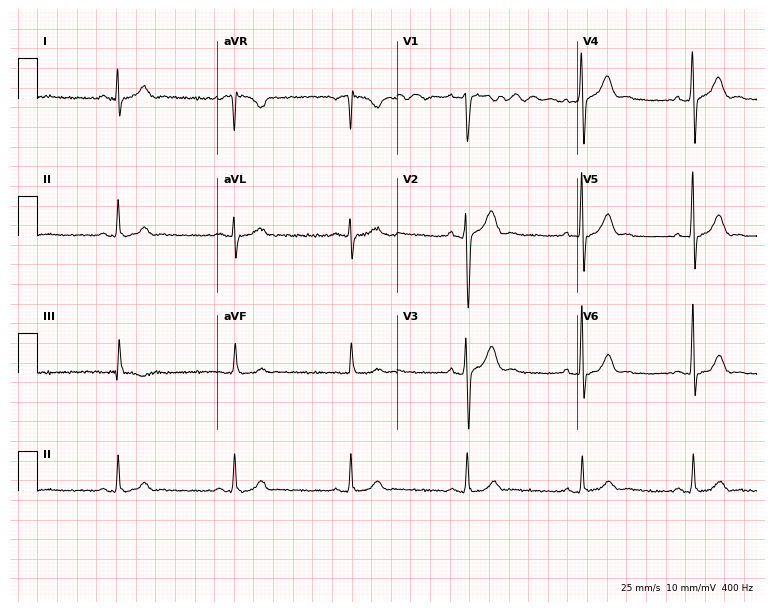
Standard 12-lead ECG recorded from a male patient, 28 years old. None of these six findings is recorded: first-degree AV block, right bundle branch block (RBBB), left bundle branch block (LBBB), sinus bradycardia, atrial fibrillation (AF), sinus tachycardia.